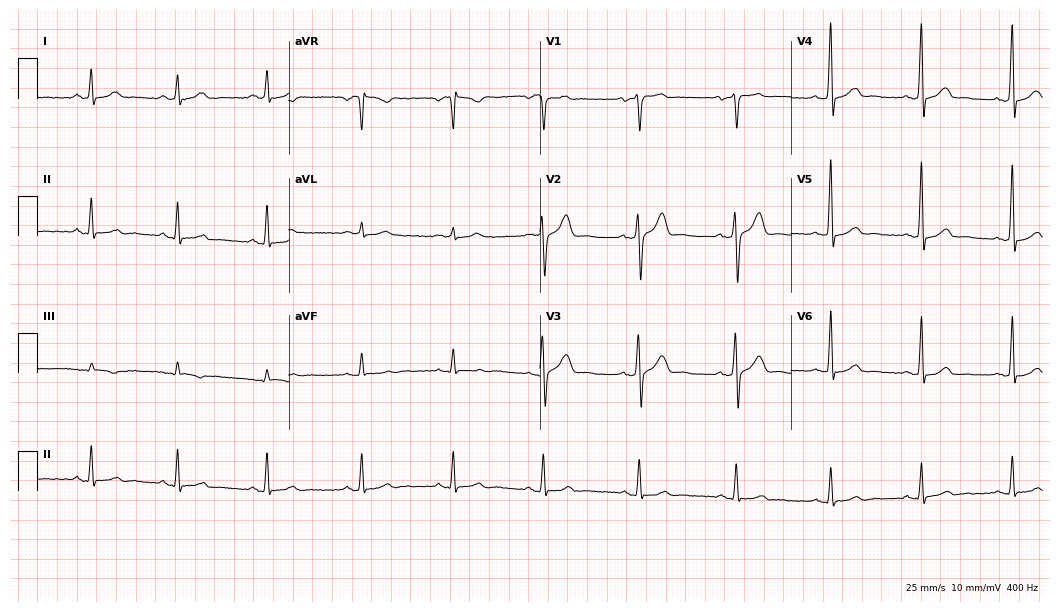
12-lead ECG from a woman, 19 years old. Recorded interpretation: within normal limits.